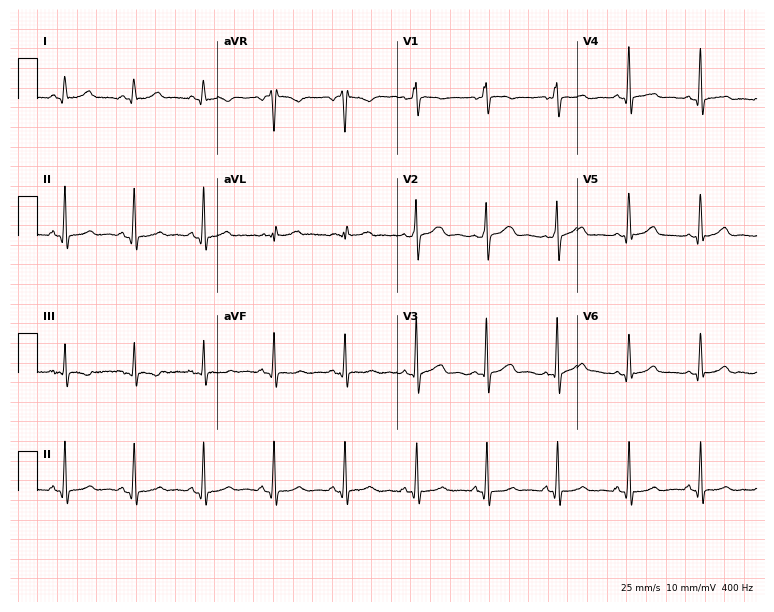
12-lead ECG from a female, 56 years old (7.3-second recording at 400 Hz). Recorded interpretation: within normal limits.